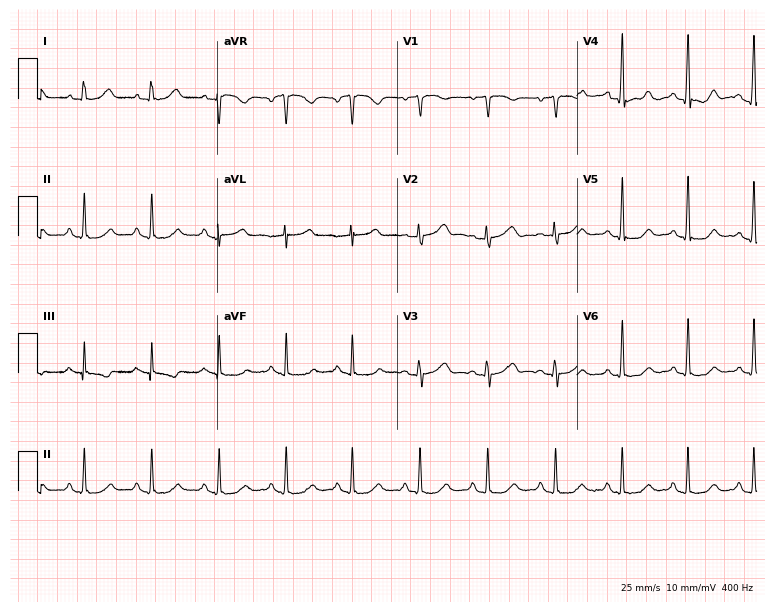
12-lead ECG from a female, 70 years old. Labelled as a normal ECG.